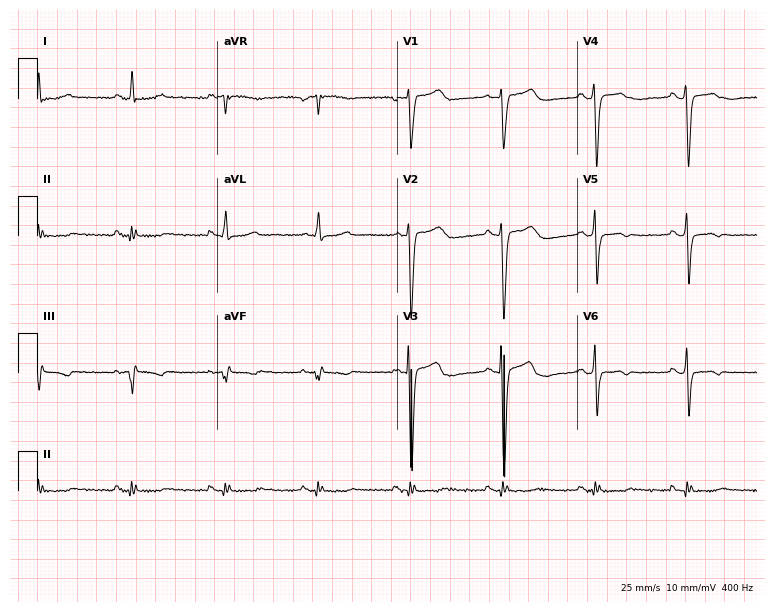
12-lead ECG (7.3-second recording at 400 Hz) from a male, 74 years old. Screened for six findings — first-degree AV block, right bundle branch block, left bundle branch block, sinus bradycardia, atrial fibrillation, sinus tachycardia — none is recorded. Other findings, if any, are not listed.